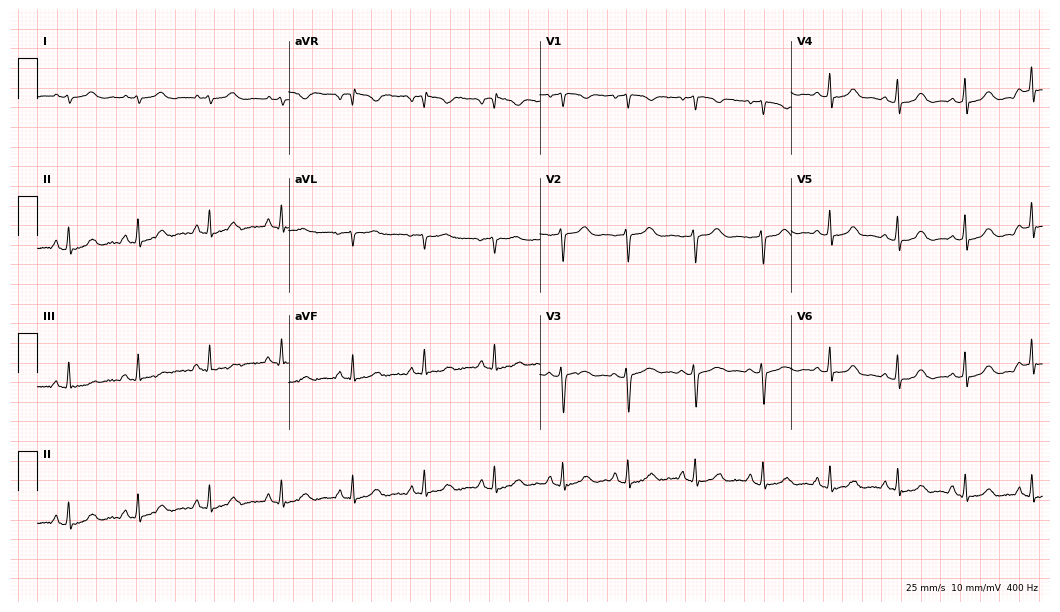
12-lead ECG (10.2-second recording at 400 Hz) from a female, 47 years old. Labelled as a normal ECG.